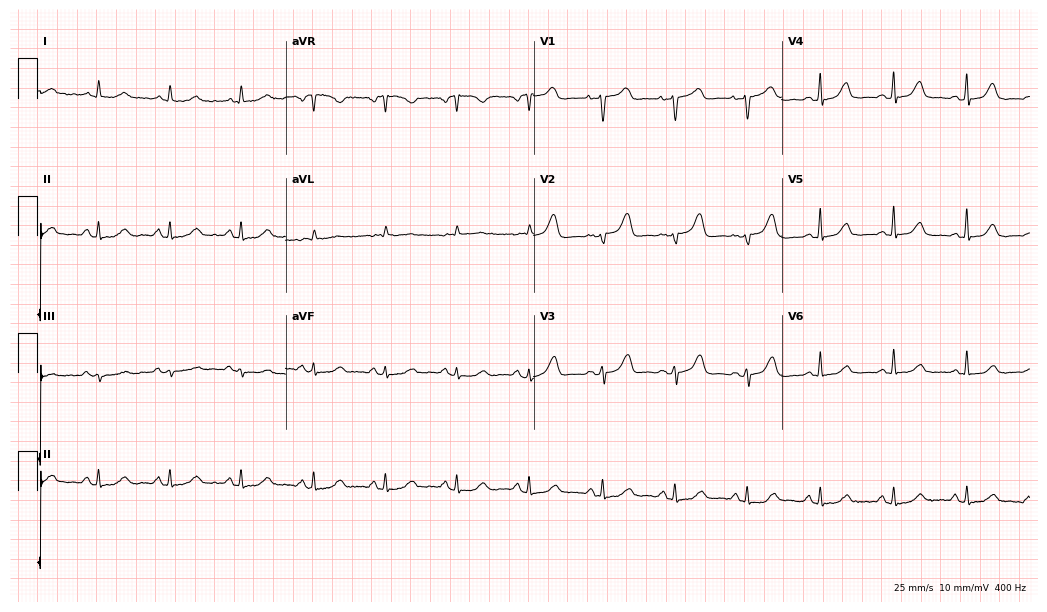
12-lead ECG from a woman, 72 years old (10.1-second recording at 400 Hz). Recorded interpretation: within normal limits.